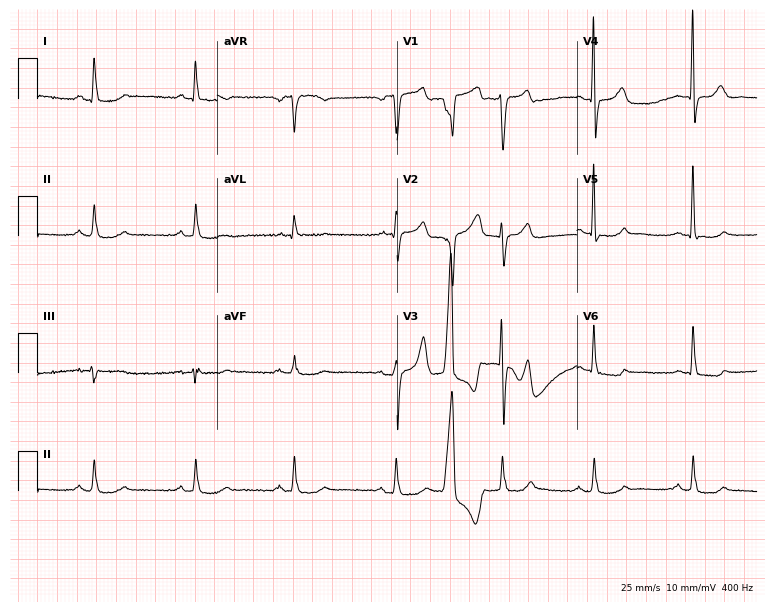
Resting 12-lead electrocardiogram. Patient: a 67-year-old man. None of these six findings is recorded: first-degree AV block, right bundle branch block (RBBB), left bundle branch block (LBBB), sinus bradycardia, atrial fibrillation (AF), sinus tachycardia.